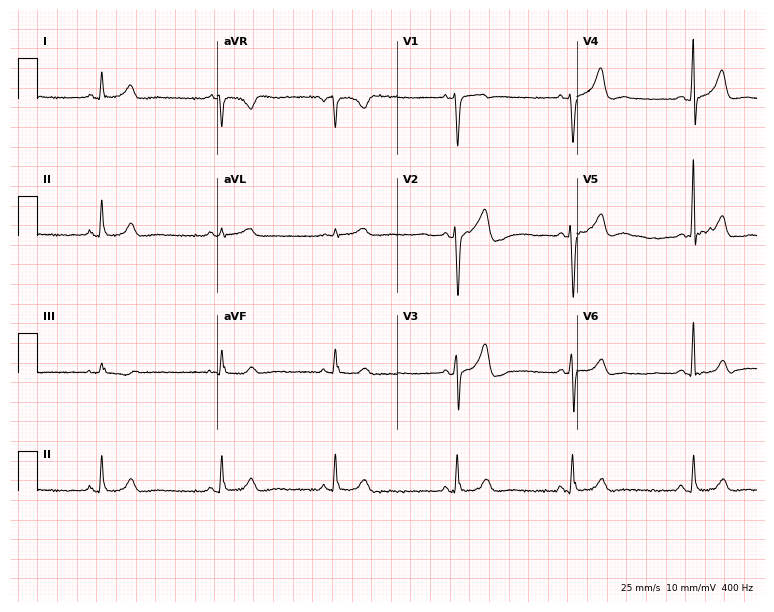
12-lead ECG from a 42-year-old woman (7.3-second recording at 400 Hz). Shows sinus bradycardia (a sinus rate of 50 beats per minute or less).